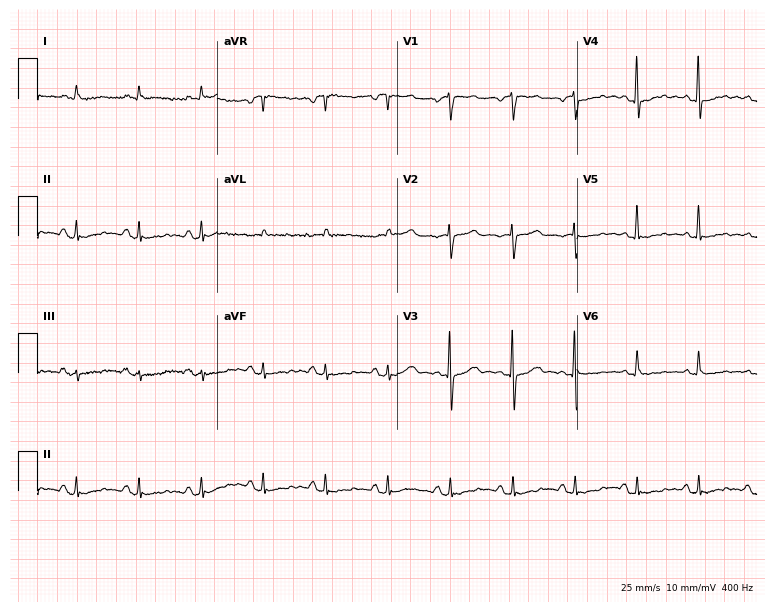
Electrocardiogram (7.3-second recording at 400 Hz), a male, 19 years old. Of the six screened findings (first-degree AV block, right bundle branch block, left bundle branch block, sinus bradycardia, atrial fibrillation, sinus tachycardia), none is recorded.